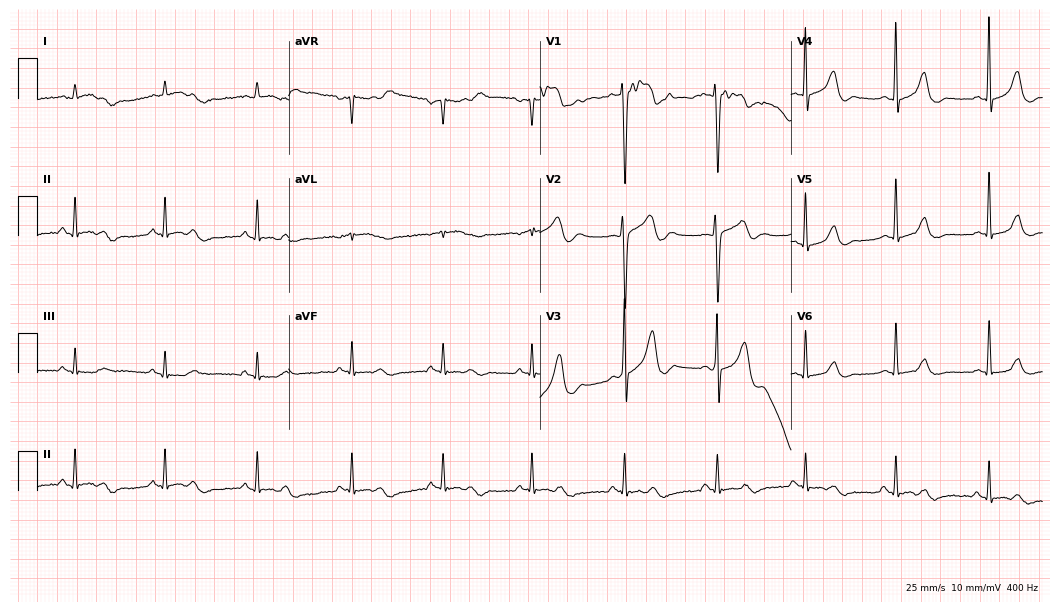
Standard 12-lead ECG recorded from a 42-year-old male. Read as a normal ECG.